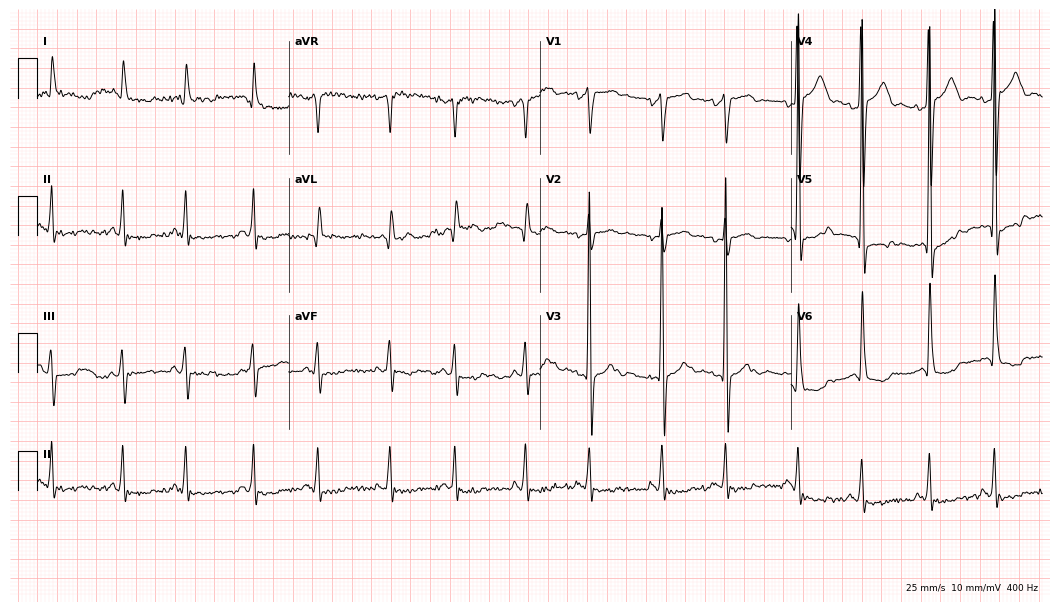
Resting 12-lead electrocardiogram. Patient: a male, 74 years old. None of these six findings is recorded: first-degree AV block, right bundle branch block, left bundle branch block, sinus bradycardia, atrial fibrillation, sinus tachycardia. Only these six findings were labelled.